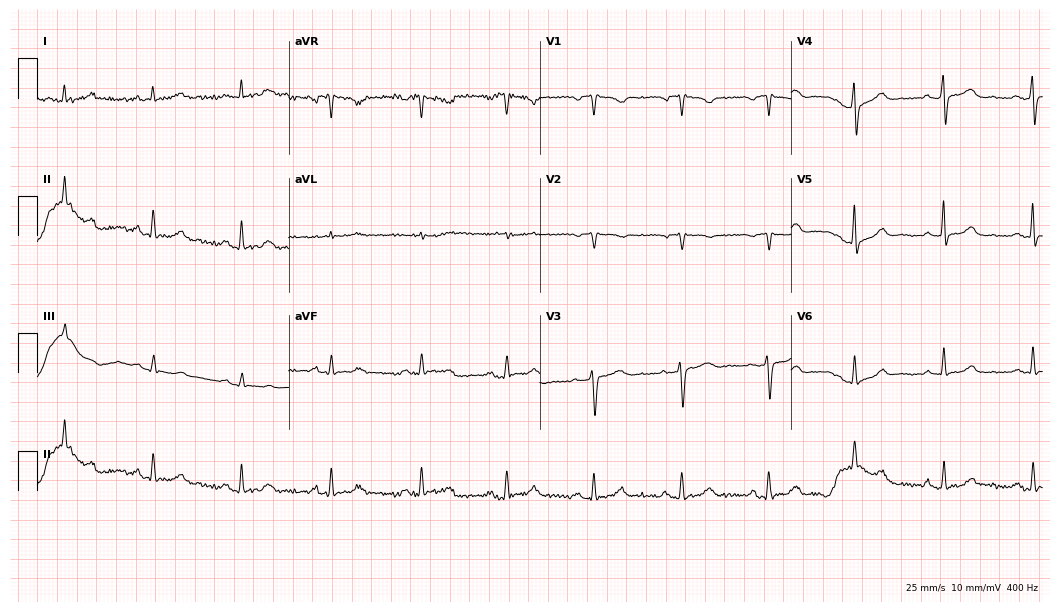
12-lead ECG from a 58-year-old female patient. Recorded interpretation: within normal limits.